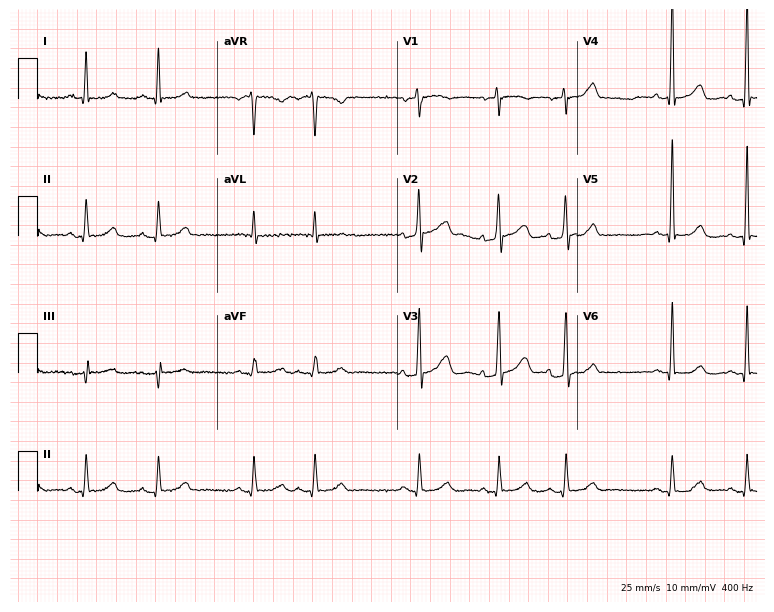
ECG — a 77-year-old male patient. Screened for six findings — first-degree AV block, right bundle branch block, left bundle branch block, sinus bradycardia, atrial fibrillation, sinus tachycardia — none is recorded. Other findings, if any, are not listed.